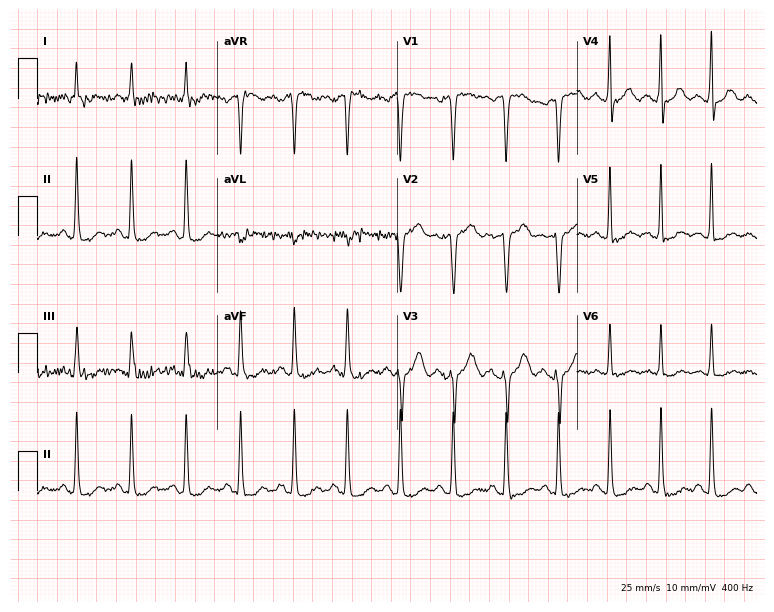
Resting 12-lead electrocardiogram. Patient: a 35-year-old male. The tracing shows sinus tachycardia (a sinus rate of 100 beats per minute or more).